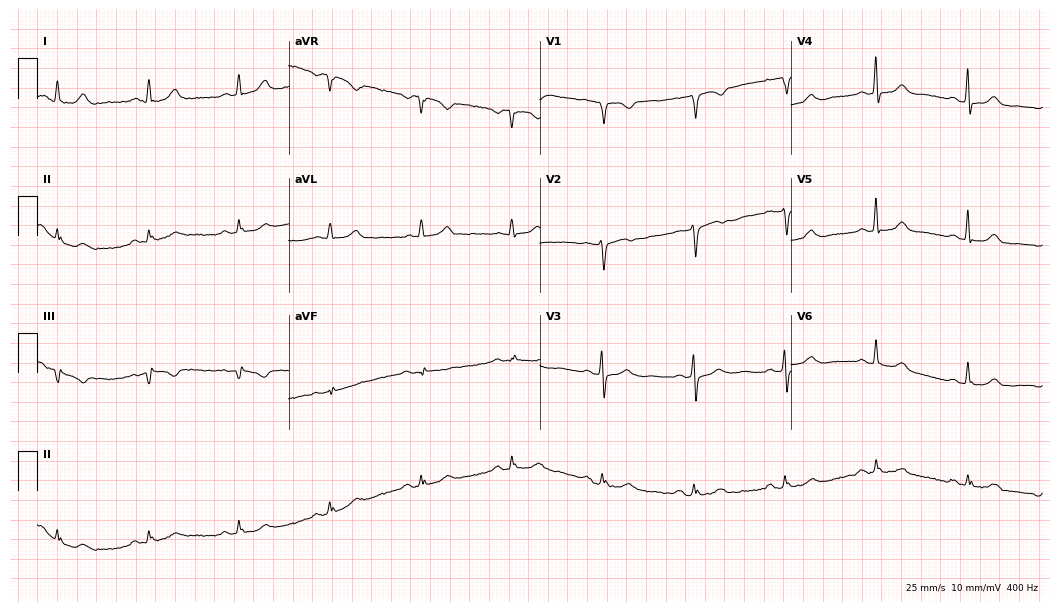
12-lead ECG from a 72-year-old female (10.2-second recording at 400 Hz). No first-degree AV block, right bundle branch block, left bundle branch block, sinus bradycardia, atrial fibrillation or sinus tachycardia recorded for this tracing. Other findings, if any, are not listed.